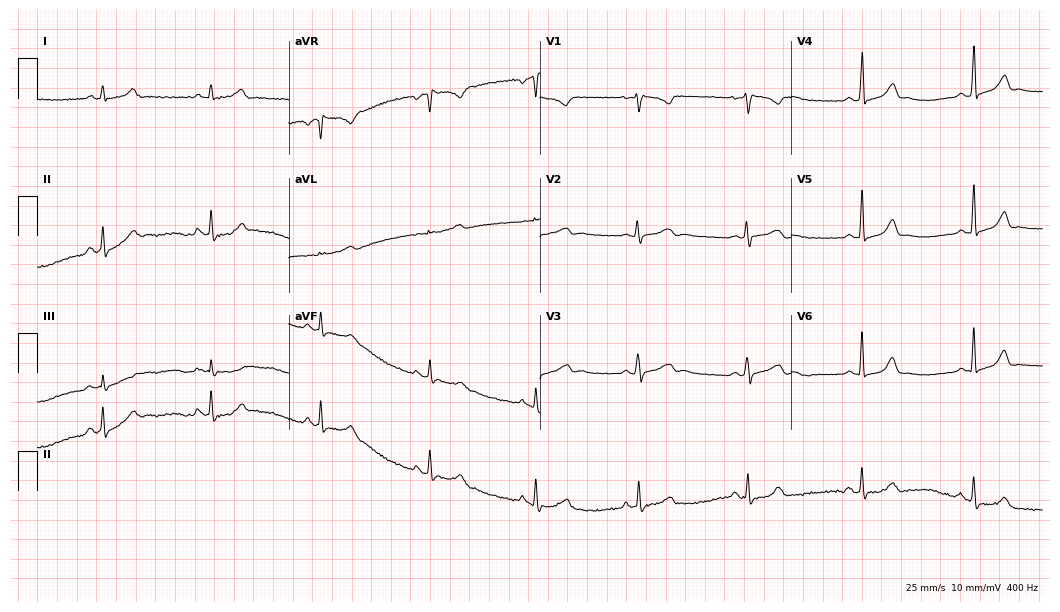
12-lead ECG from a female patient, 26 years old. Labelled as a normal ECG.